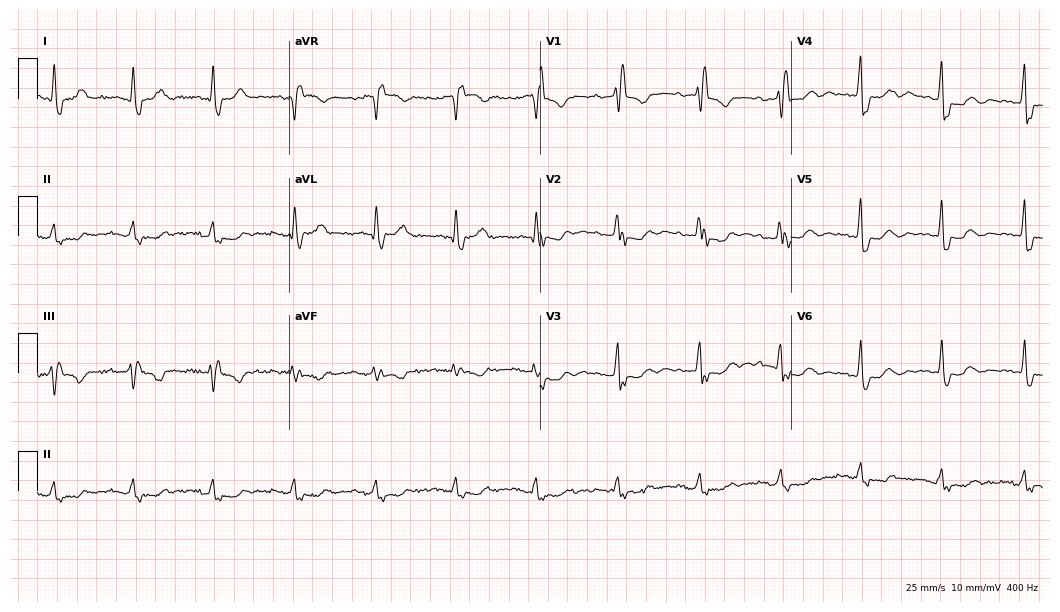
ECG (10.2-second recording at 400 Hz) — a female, 79 years old. Findings include right bundle branch block.